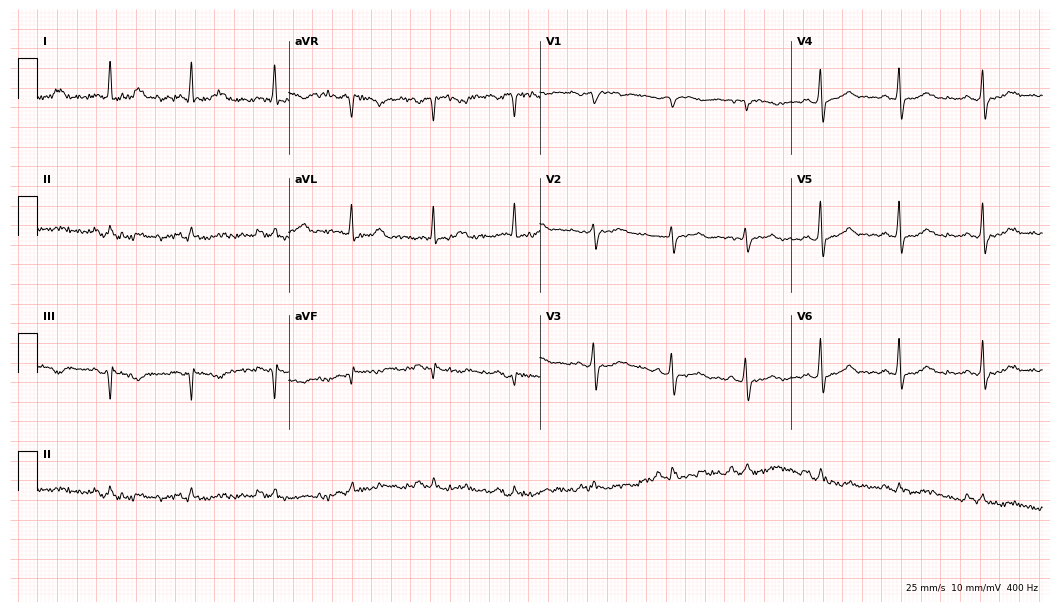
Resting 12-lead electrocardiogram. Patient: a 47-year-old female. Read as a normal ECG.